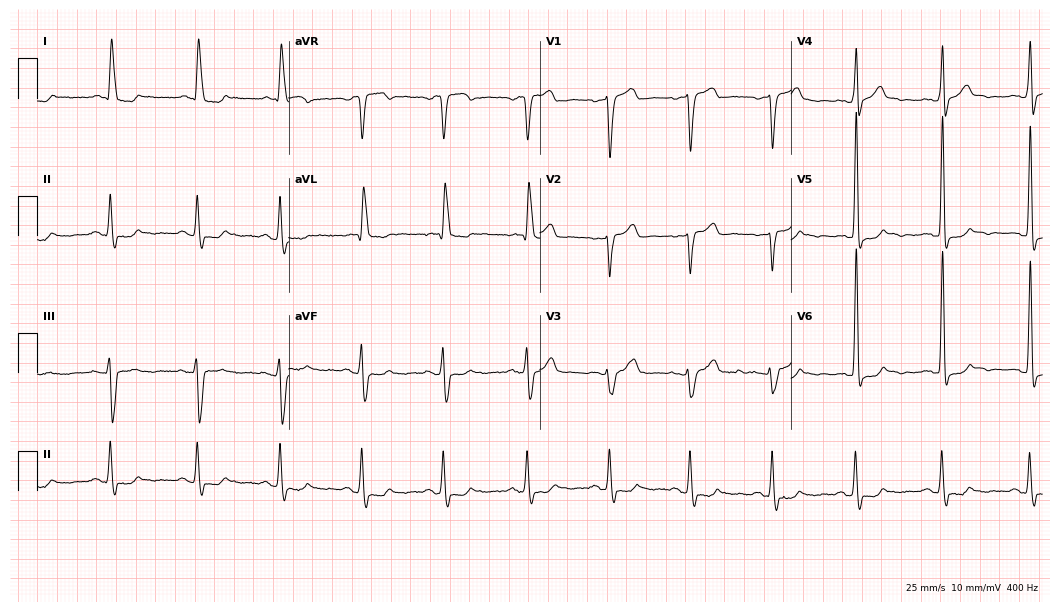
Resting 12-lead electrocardiogram (10.2-second recording at 400 Hz). Patient: a female, 75 years old. None of these six findings is recorded: first-degree AV block, right bundle branch block, left bundle branch block, sinus bradycardia, atrial fibrillation, sinus tachycardia.